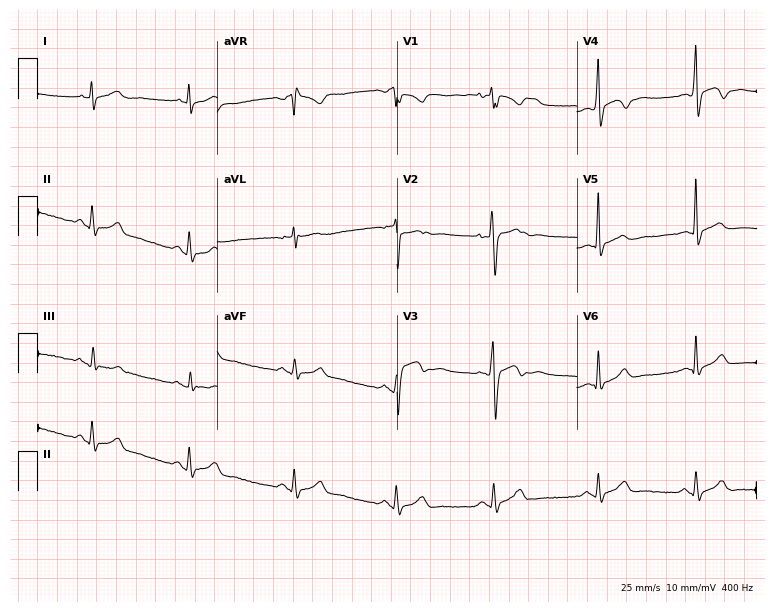
12-lead ECG from a male, 20 years old. No first-degree AV block, right bundle branch block, left bundle branch block, sinus bradycardia, atrial fibrillation or sinus tachycardia recorded for this tracing. Other findings, if any, are not listed.